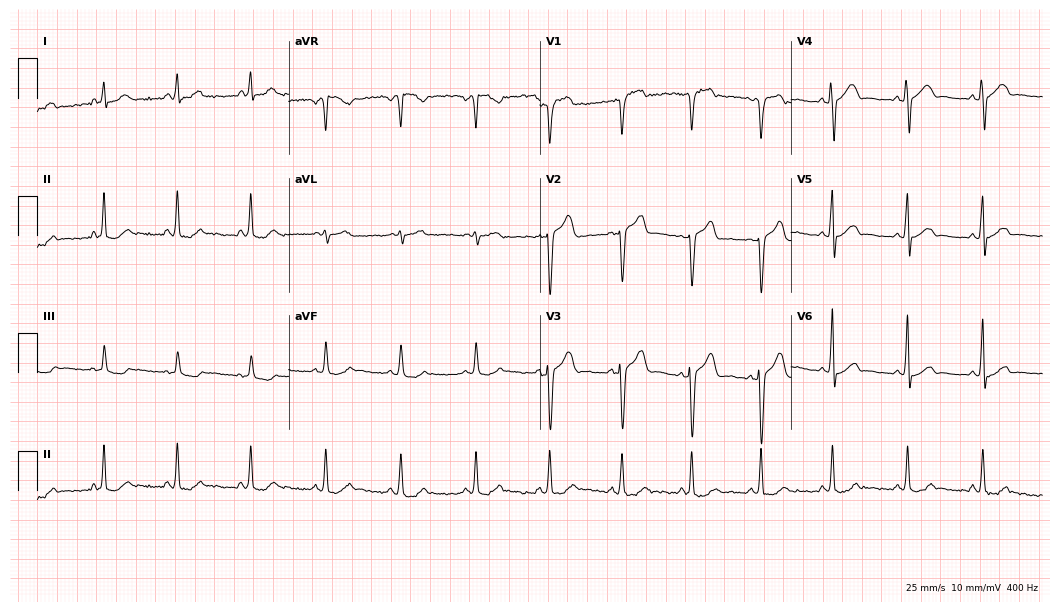
ECG — a 47-year-old man. Screened for six findings — first-degree AV block, right bundle branch block (RBBB), left bundle branch block (LBBB), sinus bradycardia, atrial fibrillation (AF), sinus tachycardia — none is recorded. Findings outside these six are not listed.